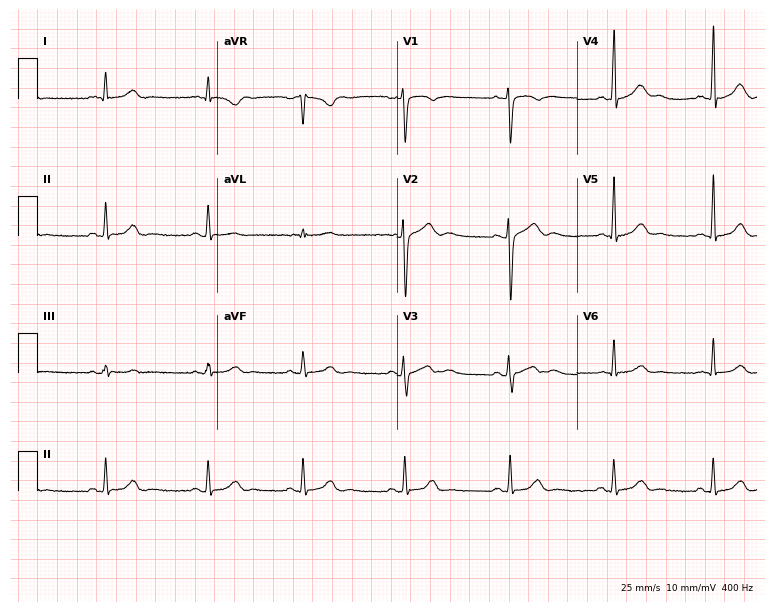
12-lead ECG (7.3-second recording at 400 Hz) from a 32-year-old man. Labelled as a normal ECG.